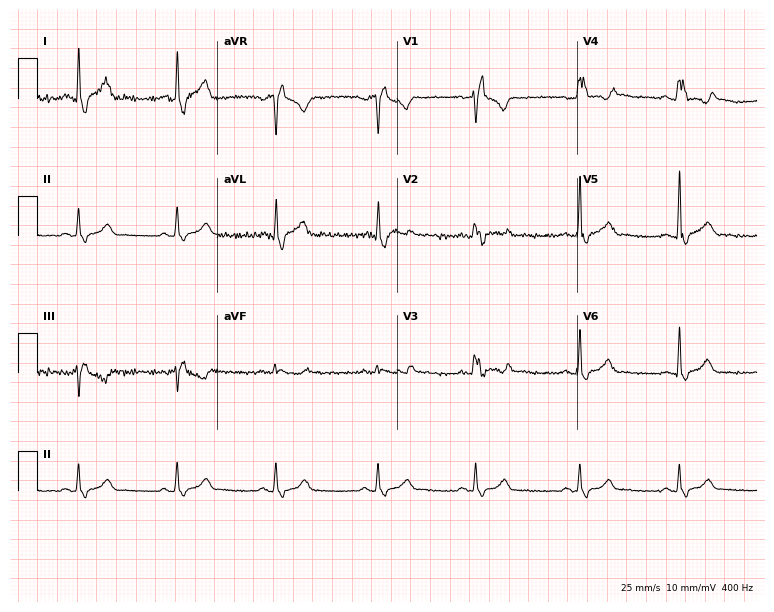
Standard 12-lead ECG recorded from a 40-year-old woman. The tracing shows right bundle branch block.